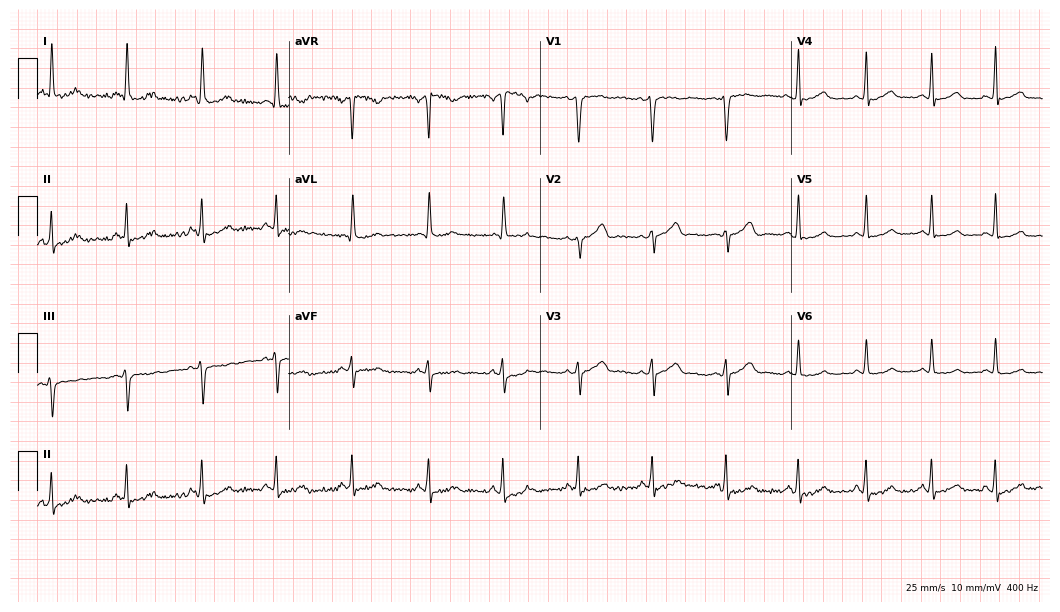
Standard 12-lead ECG recorded from a female patient, 32 years old. None of these six findings is recorded: first-degree AV block, right bundle branch block (RBBB), left bundle branch block (LBBB), sinus bradycardia, atrial fibrillation (AF), sinus tachycardia. Findings outside these six are not listed.